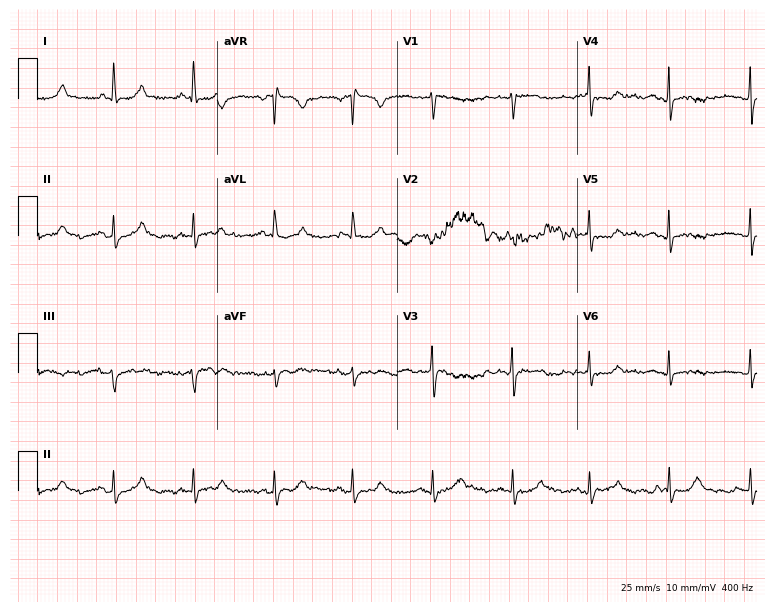
ECG (7.3-second recording at 400 Hz) — a woman, 49 years old. Screened for six findings — first-degree AV block, right bundle branch block, left bundle branch block, sinus bradycardia, atrial fibrillation, sinus tachycardia — none is recorded. Only these six findings were labelled.